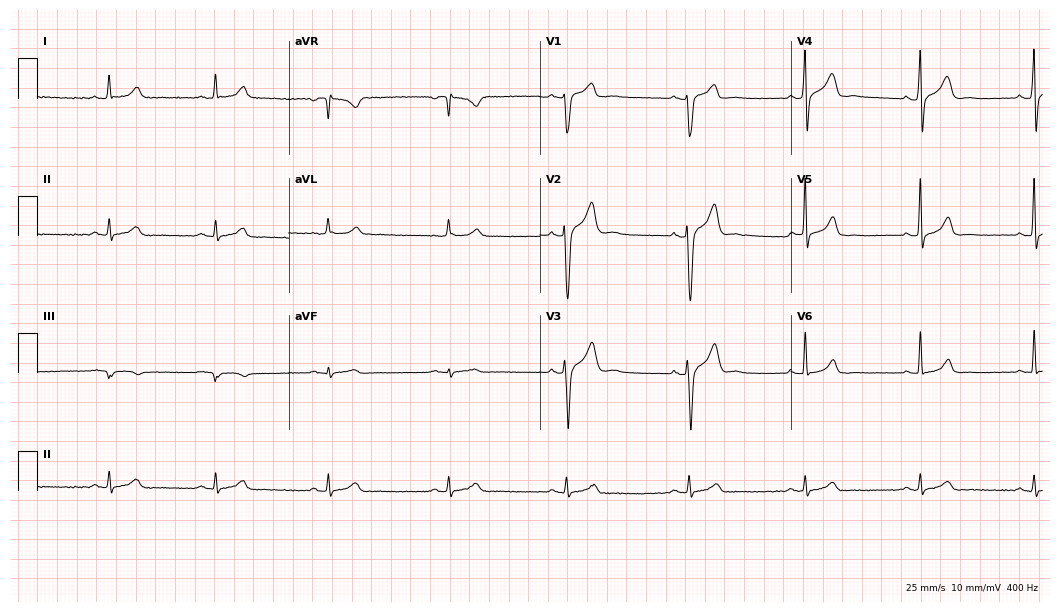
12-lead ECG (10.2-second recording at 400 Hz) from a 36-year-old man. Screened for six findings — first-degree AV block, right bundle branch block, left bundle branch block, sinus bradycardia, atrial fibrillation, sinus tachycardia — none is recorded.